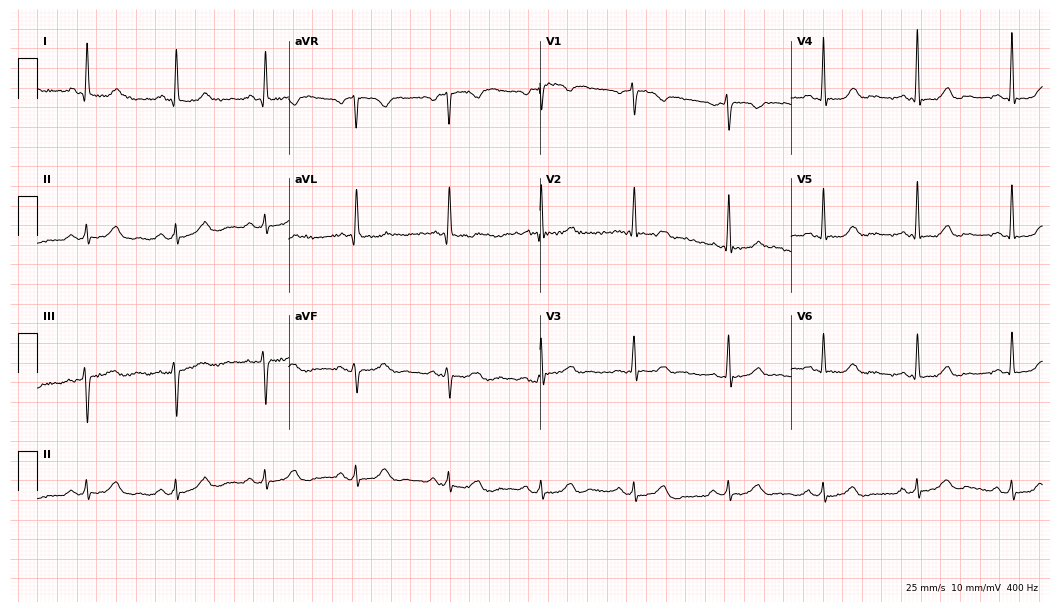
Electrocardiogram, a 74-year-old woman. Overall reading on record: normal ECG.